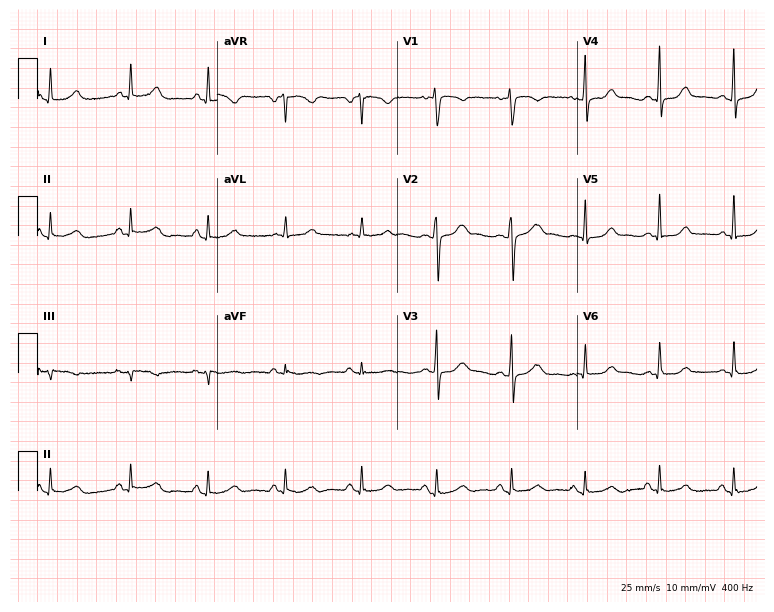
ECG (7.3-second recording at 400 Hz) — a female patient, 36 years old. Labelled as a normal ECG.